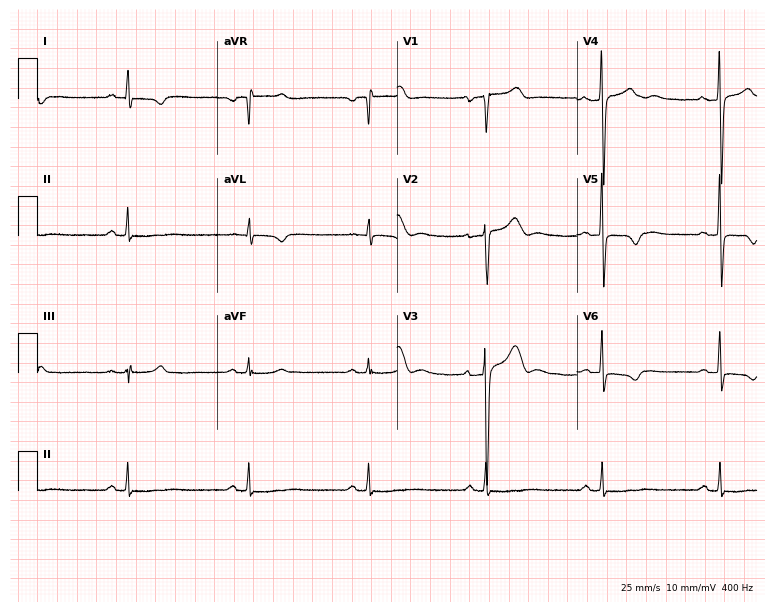
Standard 12-lead ECG recorded from a male patient, 63 years old. None of these six findings is recorded: first-degree AV block, right bundle branch block, left bundle branch block, sinus bradycardia, atrial fibrillation, sinus tachycardia.